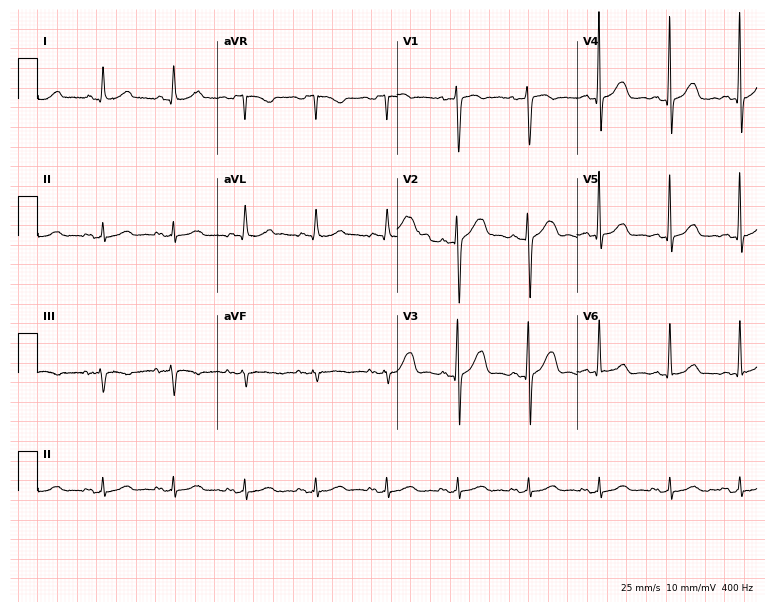
ECG — an 80-year-old female. Labelled as a normal ECG.